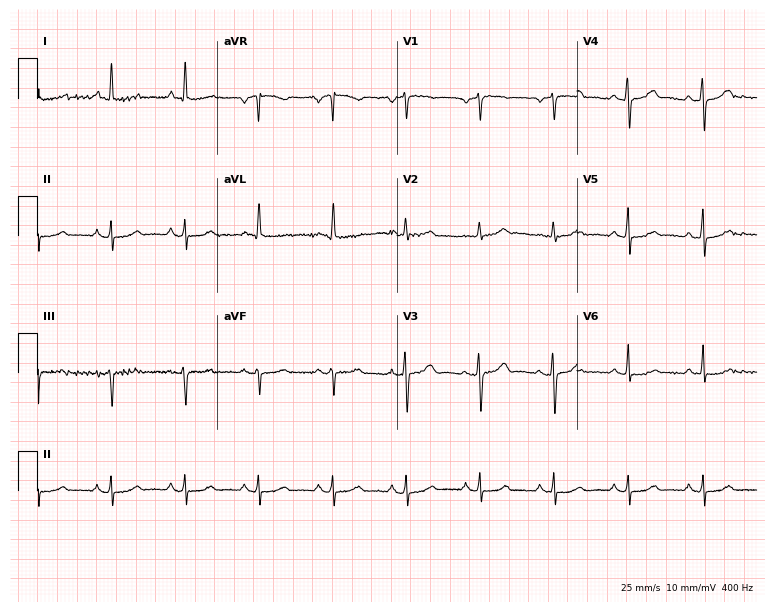
Resting 12-lead electrocardiogram. Patient: a 74-year-old female. Read as a normal ECG.